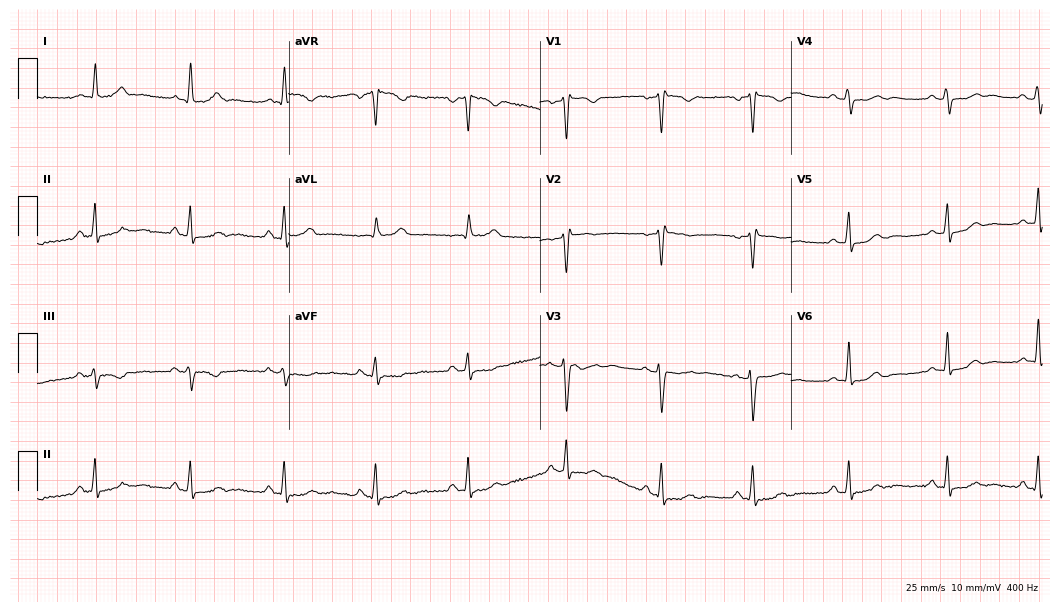
12-lead ECG from a 36-year-old woman. No first-degree AV block, right bundle branch block (RBBB), left bundle branch block (LBBB), sinus bradycardia, atrial fibrillation (AF) or sinus tachycardia recorded for this tracing.